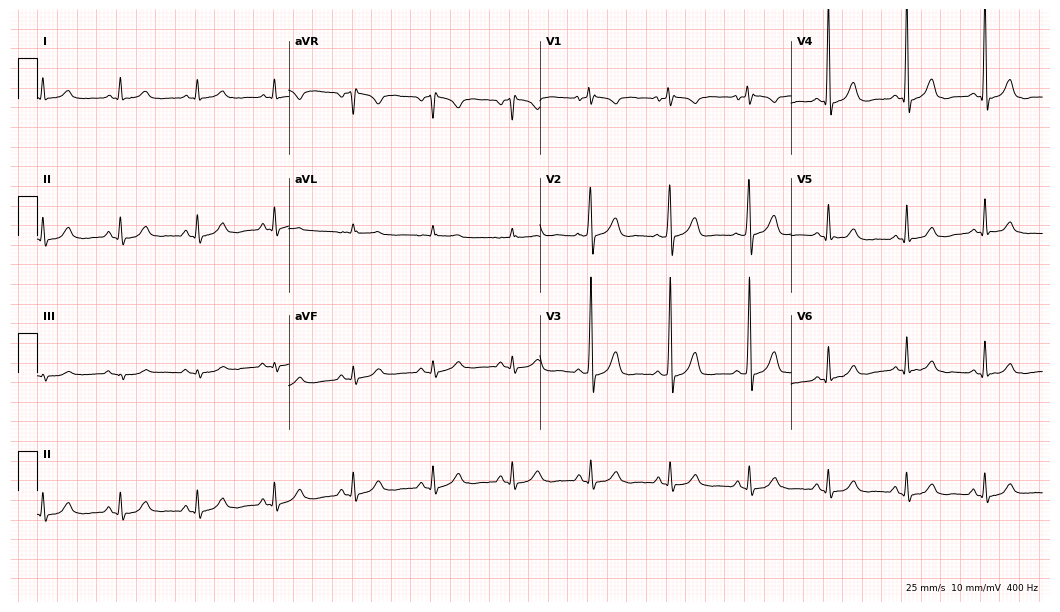
12-lead ECG from a 62-year-old male. Screened for six findings — first-degree AV block, right bundle branch block, left bundle branch block, sinus bradycardia, atrial fibrillation, sinus tachycardia — none is recorded. Findings outside these six are not listed.